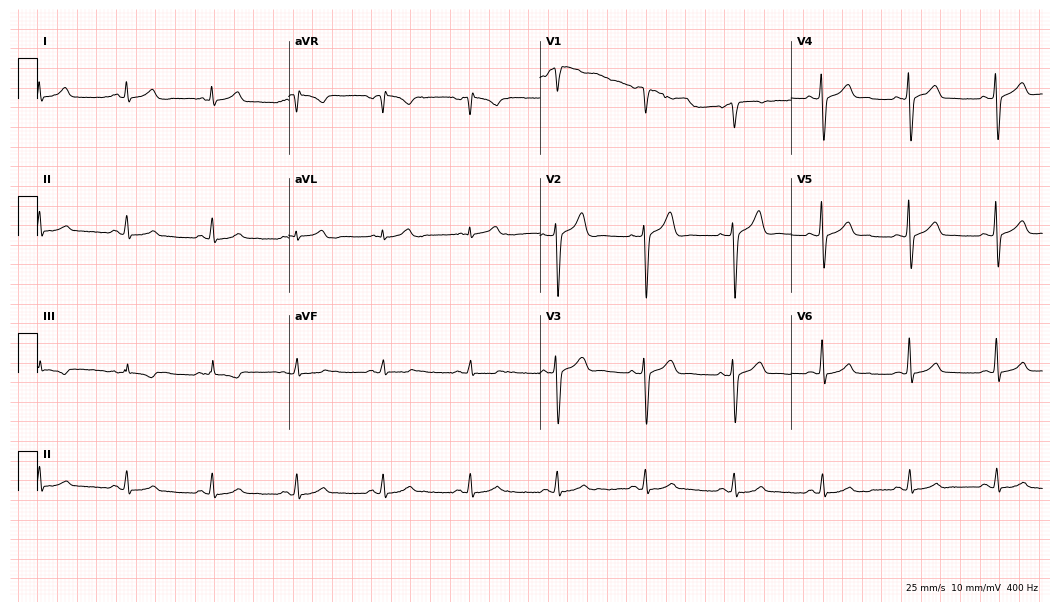
ECG (10.2-second recording at 400 Hz) — a 51-year-old male patient. Screened for six findings — first-degree AV block, right bundle branch block, left bundle branch block, sinus bradycardia, atrial fibrillation, sinus tachycardia — none is recorded. Findings outside these six are not listed.